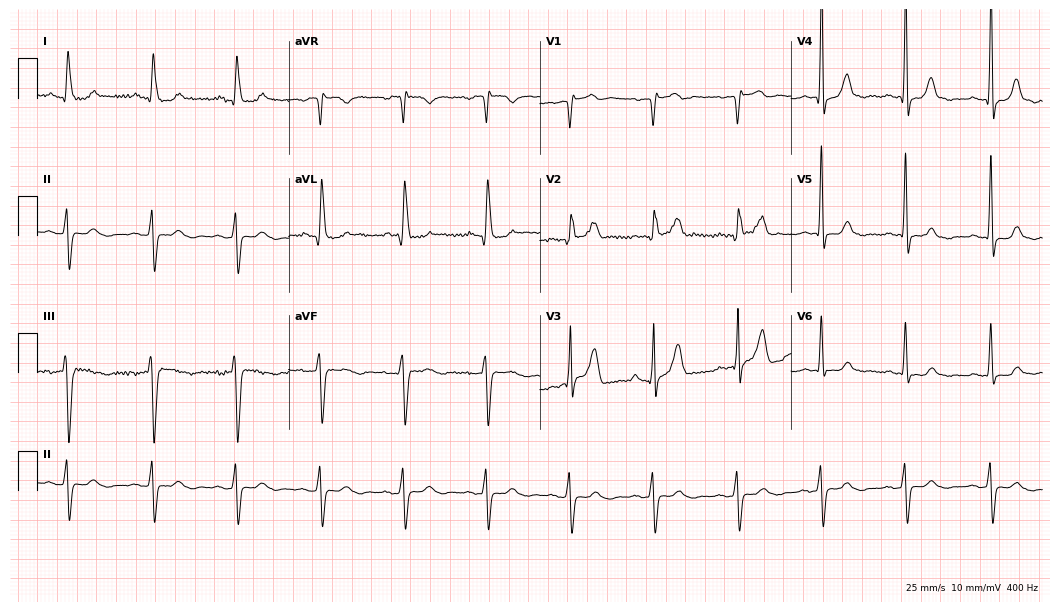
Resting 12-lead electrocardiogram. Patient: a 66-year-old man. None of these six findings is recorded: first-degree AV block, right bundle branch block, left bundle branch block, sinus bradycardia, atrial fibrillation, sinus tachycardia. Other findings, if any, are not listed.